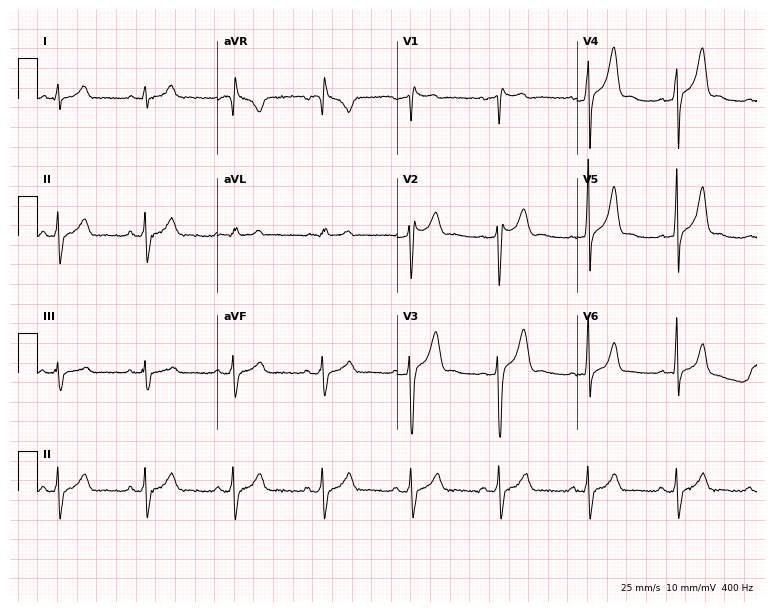
Resting 12-lead electrocardiogram (7.3-second recording at 400 Hz). Patient: a 39-year-old male. None of these six findings is recorded: first-degree AV block, right bundle branch block, left bundle branch block, sinus bradycardia, atrial fibrillation, sinus tachycardia.